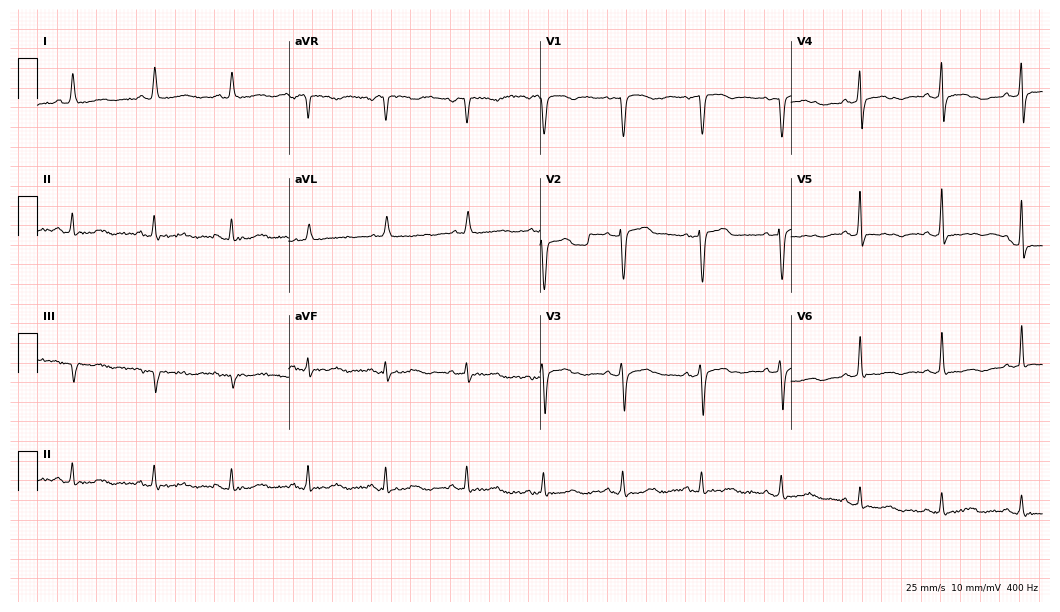
Electrocardiogram, a 74-year-old woman. Of the six screened findings (first-degree AV block, right bundle branch block (RBBB), left bundle branch block (LBBB), sinus bradycardia, atrial fibrillation (AF), sinus tachycardia), none is recorded. Other findings, if any, are not listed.